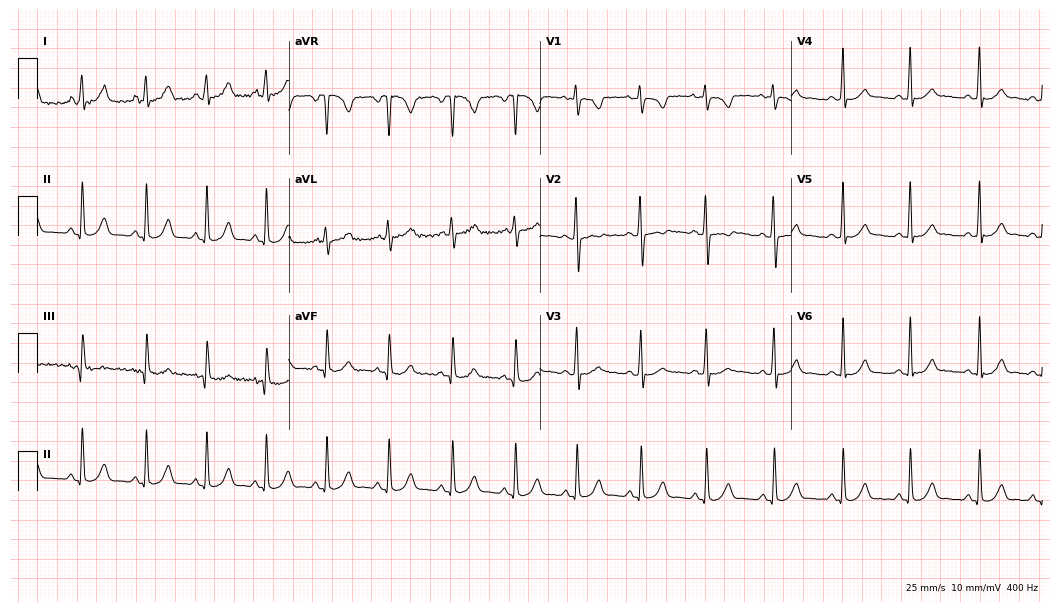
ECG — an 18-year-old woman. Labelled as a normal ECG.